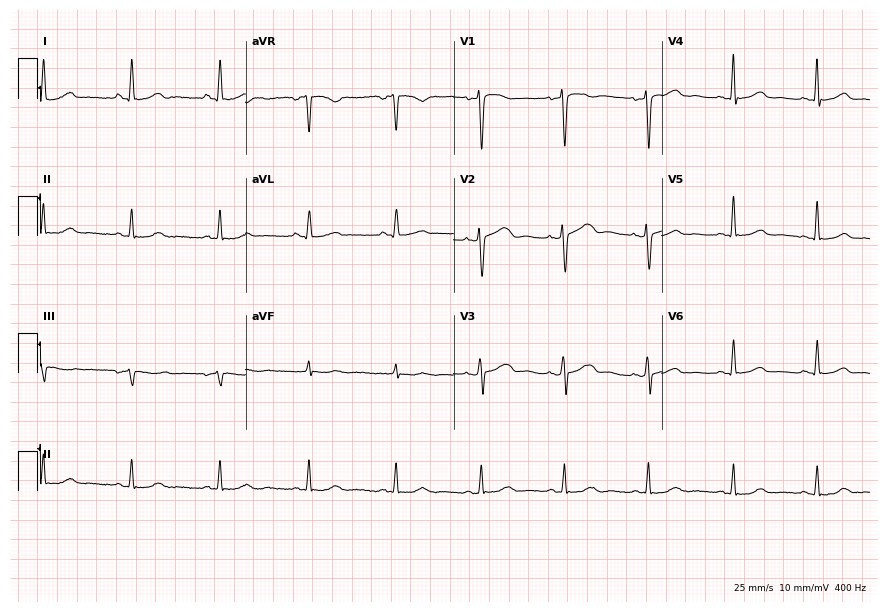
ECG (8.5-second recording at 400 Hz) — a 51-year-old woman. Labelled as a normal ECG.